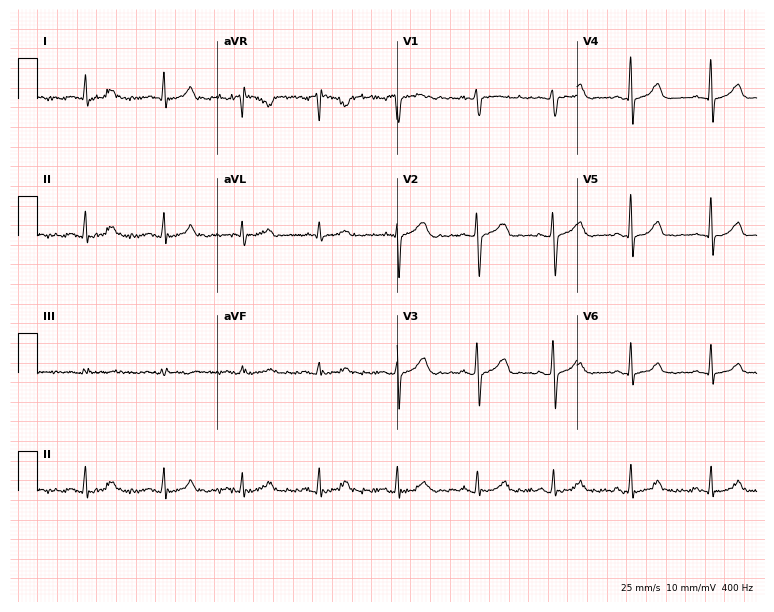
Standard 12-lead ECG recorded from a female, 47 years old (7.3-second recording at 400 Hz). Read as a normal ECG.